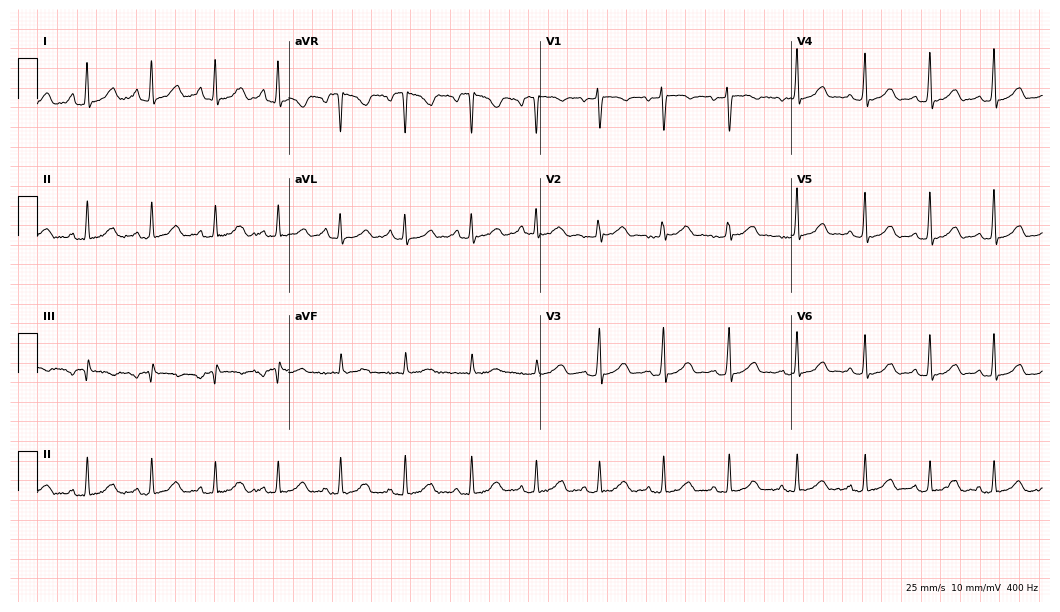
Standard 12-lead ECG recorded from a 36-year-old woman. None of these six findings is recorded: first-degree AV block, right bundle branch block (RBBB), left bundle branch block (LBBB), sinus bradycardia, atrial fibrillation (AF), sinus tachycardia.